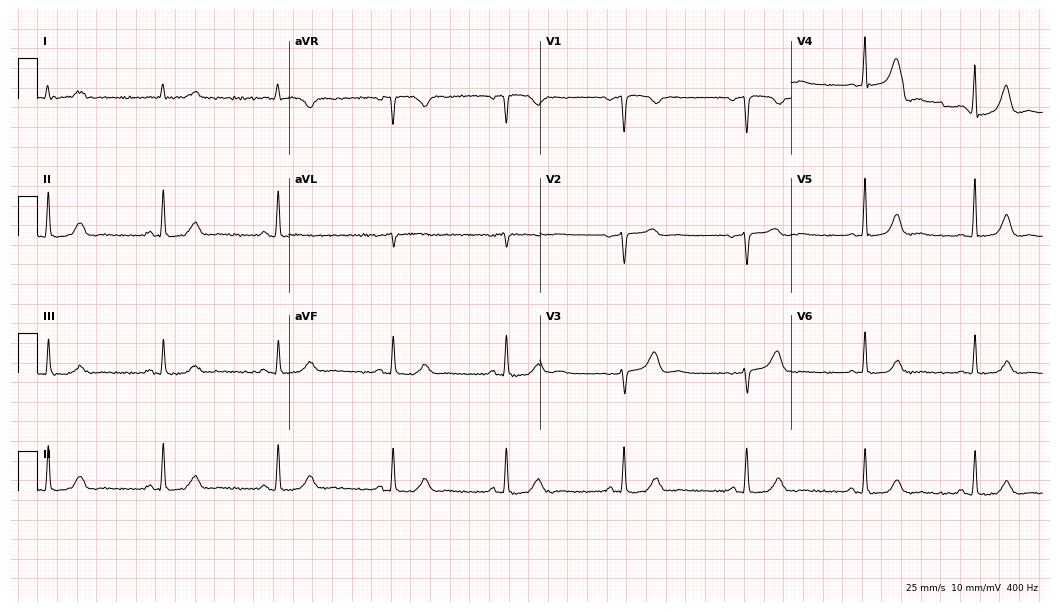
Electrocardiogram (10.2-second recording at 400 Hz), a 49-year-old female patient. Of the six screened findings (first-degree AV block, right bundle branch block, left bundle branch block, sinus bradycardia, atrial fibrillation, sinus tachycardia), none is recorded.